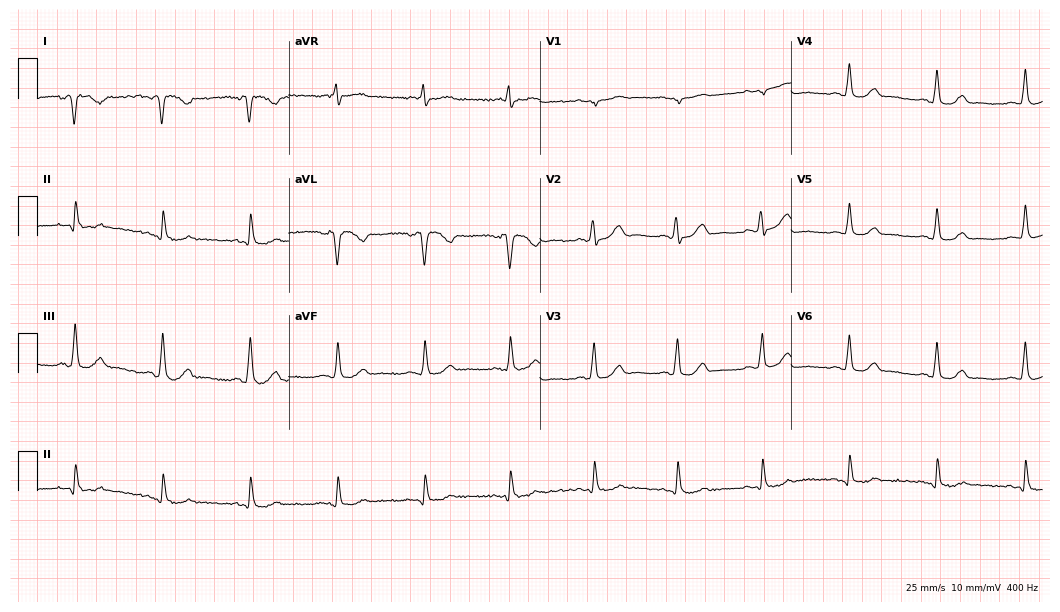
ECG — a 55-year-old man. Labelled as a normal ECG.